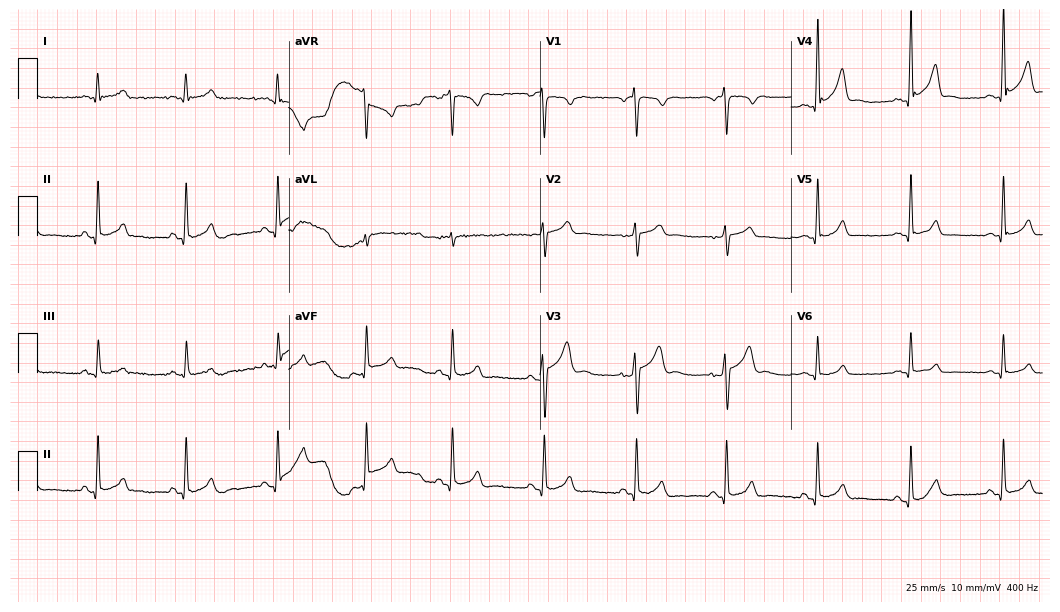
Resting 12-lead electrocardiogram (10.2-second recording at 400 Hz). Patient: a male, 39 years old. None of these six findings is recorded: first-degree AV block, right bundle branch block (RBBB), left bundle branch block (LBBB), sinus bradycardia, atrial fibrillation (AF), sinus tachycardia.